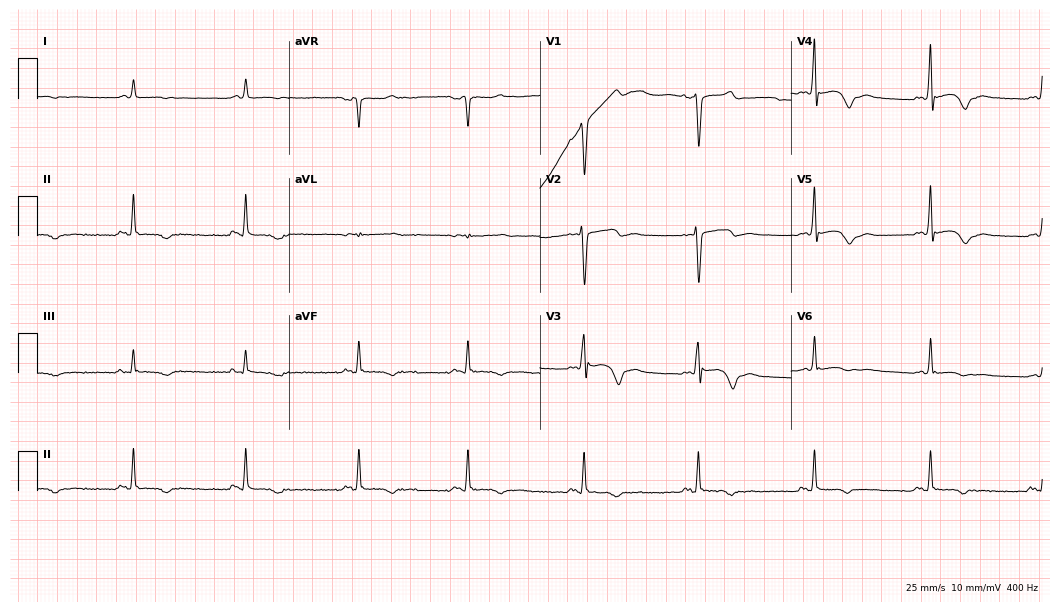
Standard 12-lead ECG recorded from a male patient, 71 years old. Read as a normal ECG.